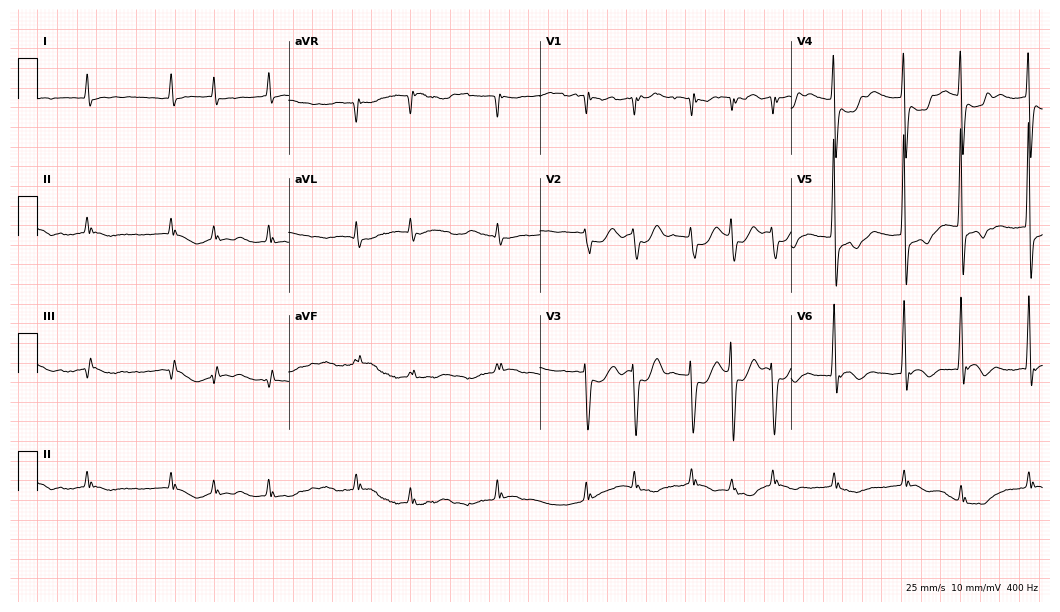
Standard 12-lead ECG recorded from a man, 73 years old (10.2-second recording at 400 Hz). The tracing shows atrial fibrillation (AF).